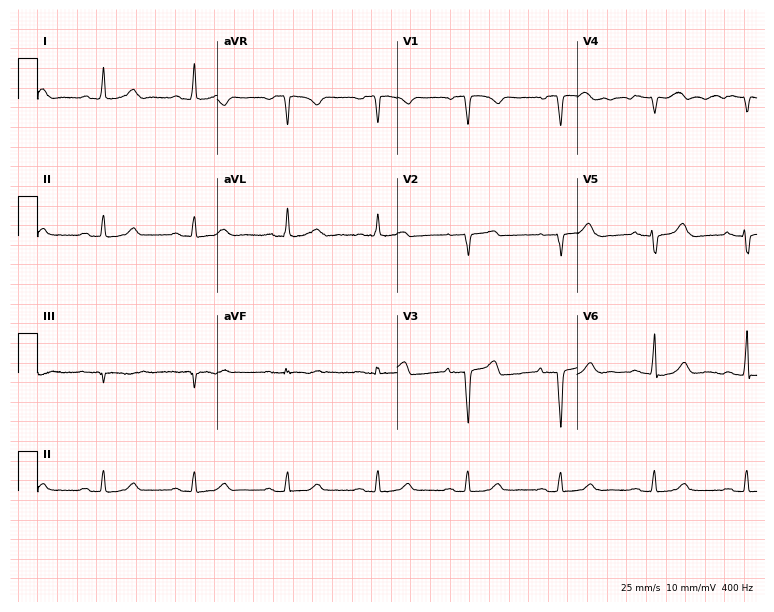
Standard 12-lead ECG recorded from a 61-year-old female. The tracing shows first-degree AV block.